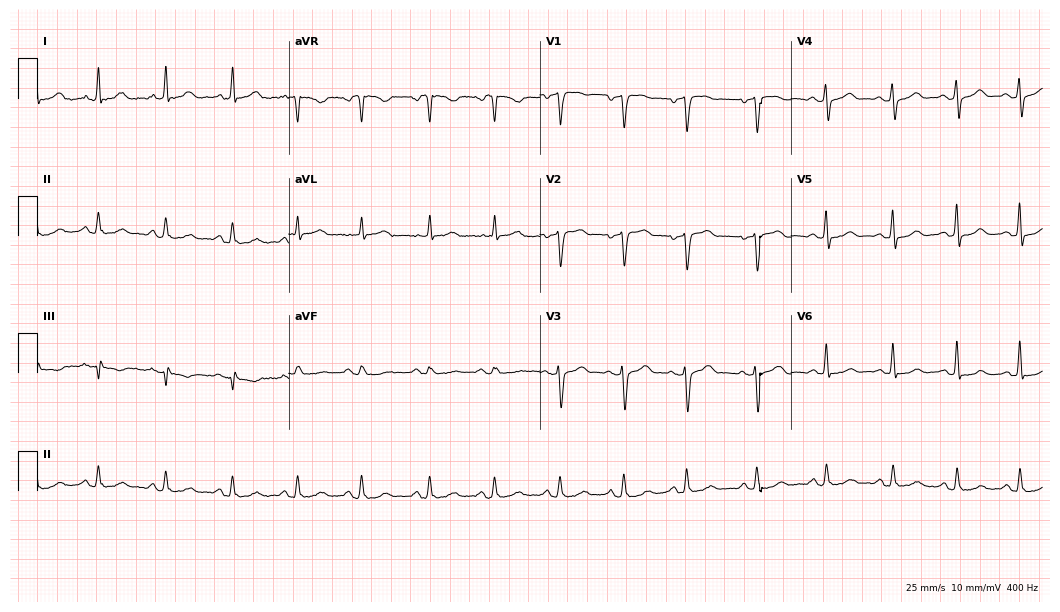
Standard 12-lead ECG recorded from a 63-year-old female. None of these six findings is recorded: first-degree AV block, right bundle branch block (RBBB), left bundle branch block (LBBB), sinus bradycardia, atrial fibrillation (AF), sinus tachycardia. Other findings, if any, are not listed.